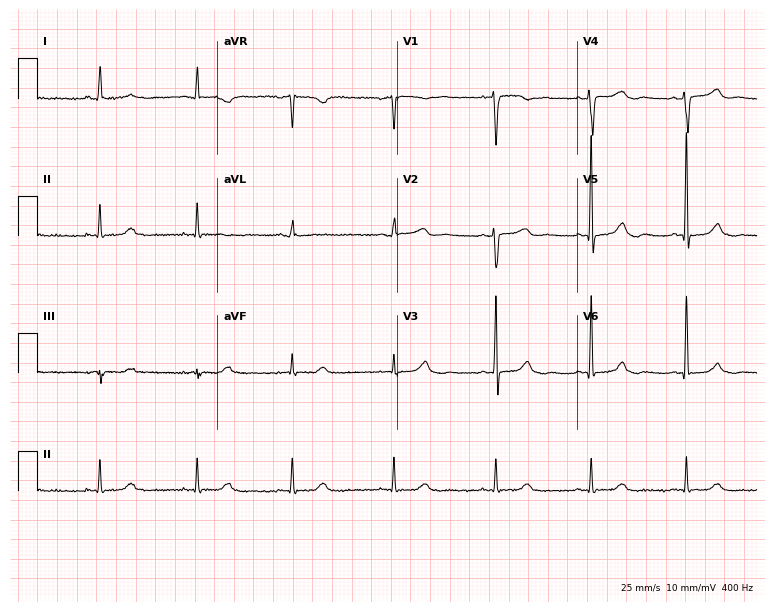
12-lead ECG (7.3-second recording at 400 Hz) from a 62-year-old female patient. Labelled as a normal ECG.